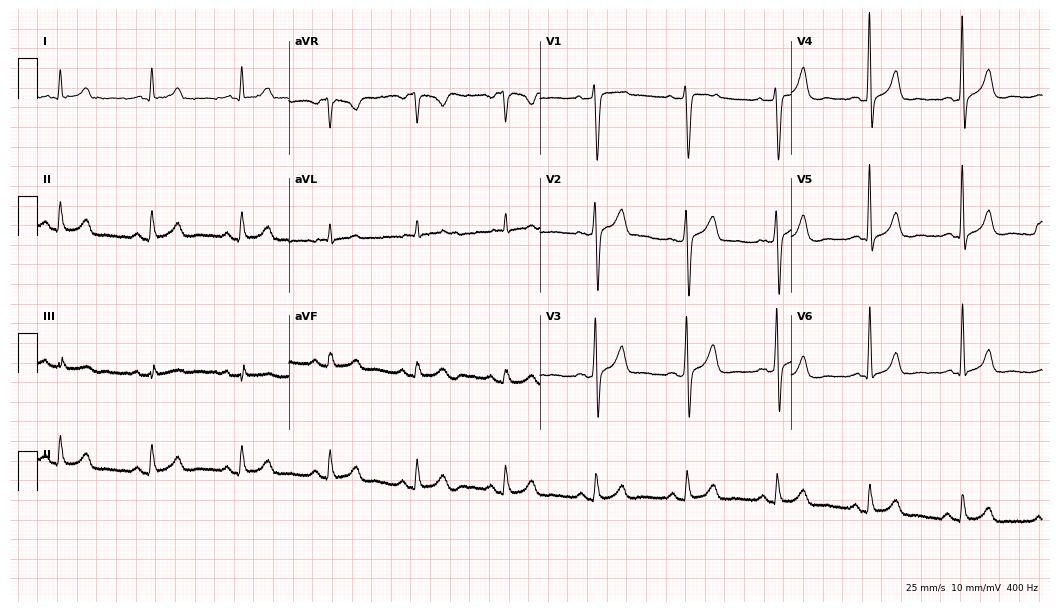
Standard 12-lead ECG recorded from a 55-year-old male patient. Read as a normal ECG.